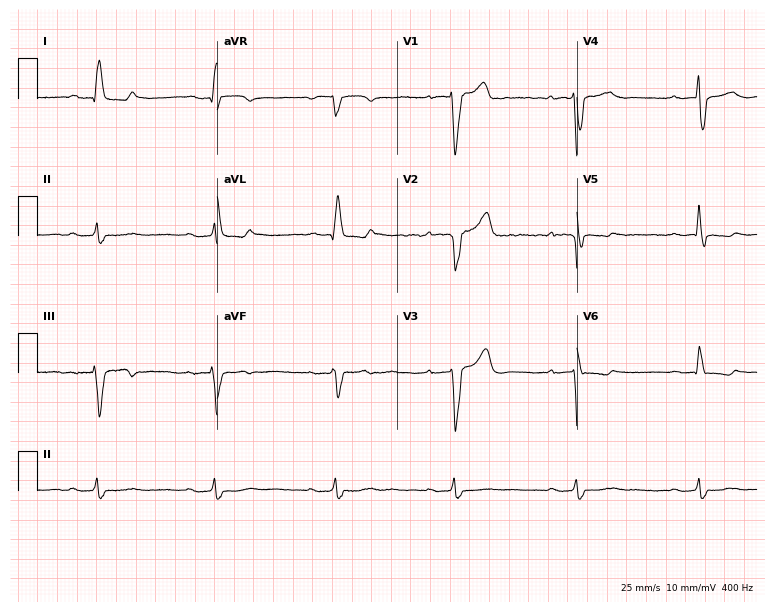
12-lead ECG (7.3-second recording at 400 Hz) from an 82-year-old man. Screened for six findings — first-degree AV block, right bundle branch block (RBBB), left bundle branch block (LBBB), sinus bradycardia, atrial fibrillation (AF), sinus tachycardia — none is recorded. Only these six findings were labelled.